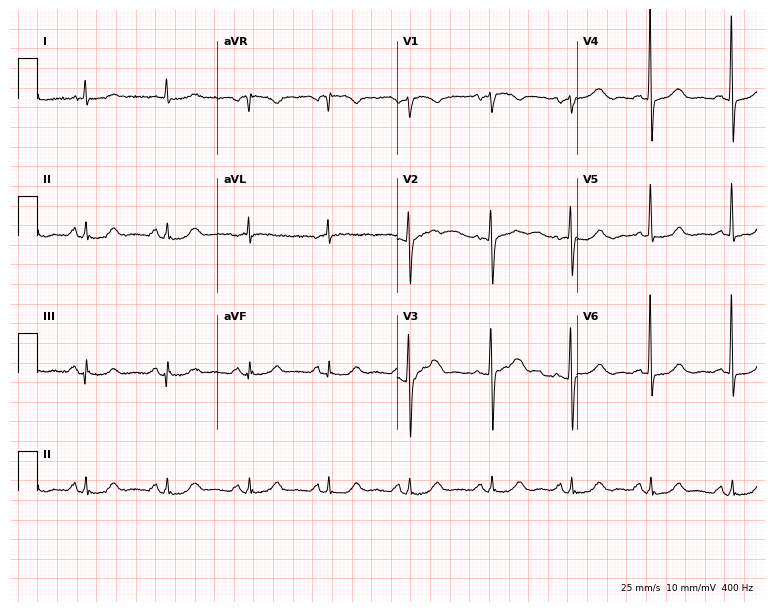
Resting 12-lead electrocardiogram (7.3-second recording at 400 Hz). Patient: a 65-year-old female. Read as a normal ECG.